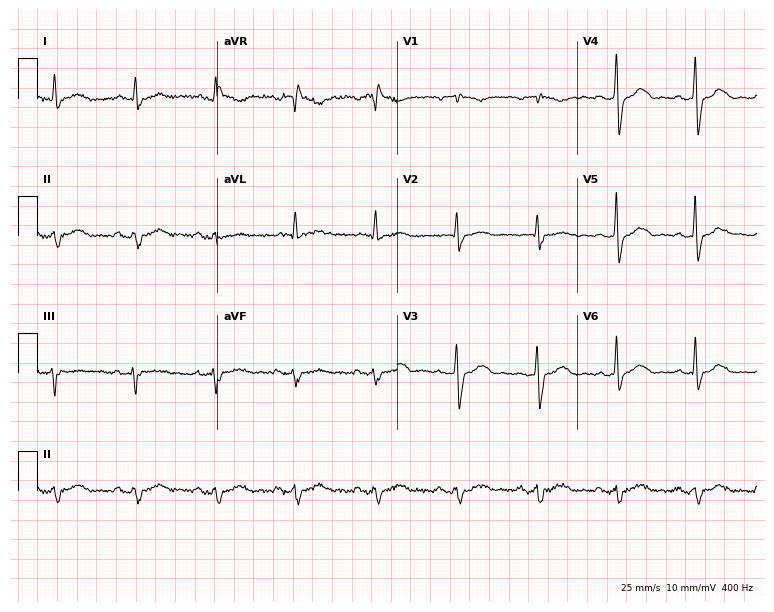
Electrocardiogram (7.3-second recording at 400 Hz), a male, 70 years old. Of the six screened findings (first-degree AV block, right bundle branch block, left bundle branch block, sinus bradycardia, atrial fibrillation, sinus tachycardia), none is recorded. Only these six findings were labelled.